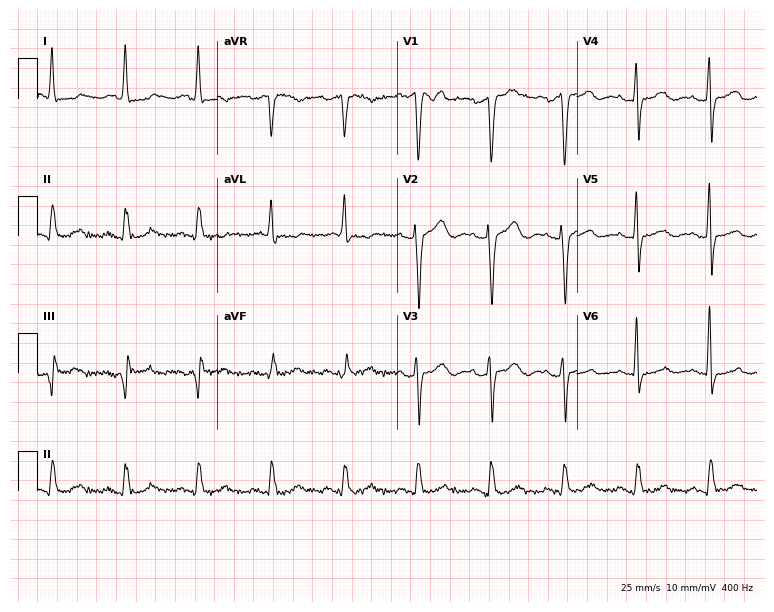
12-lead ECG from a male, 72 years old. Recorded interpretation: within normal limits.